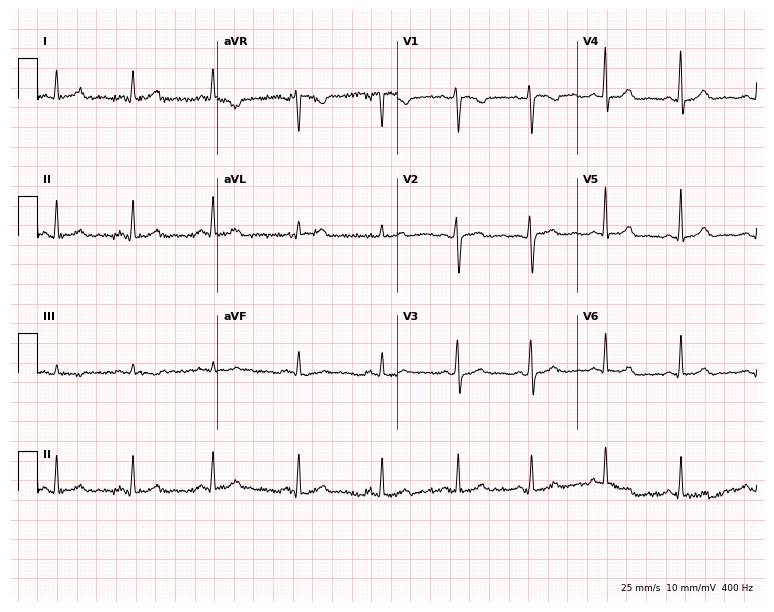
Electrocardiogram (7.3-second recording at 400 Hz), a female patient, 24 years old. Overall reading on record: normal ECG.